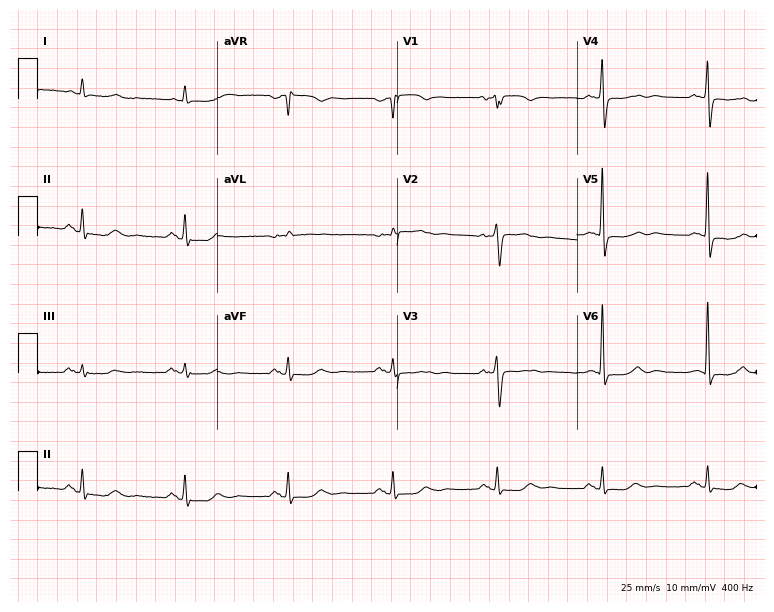
12-lead ECG (7.3-second recording at 400 Hz) from a man, 82 years old. Screened for six findings — first-degree AV block, right bundle branch block, left bundle branch block, sinus bradycardia, atrial fibrillation, sinus tachycardia — none is recorded.